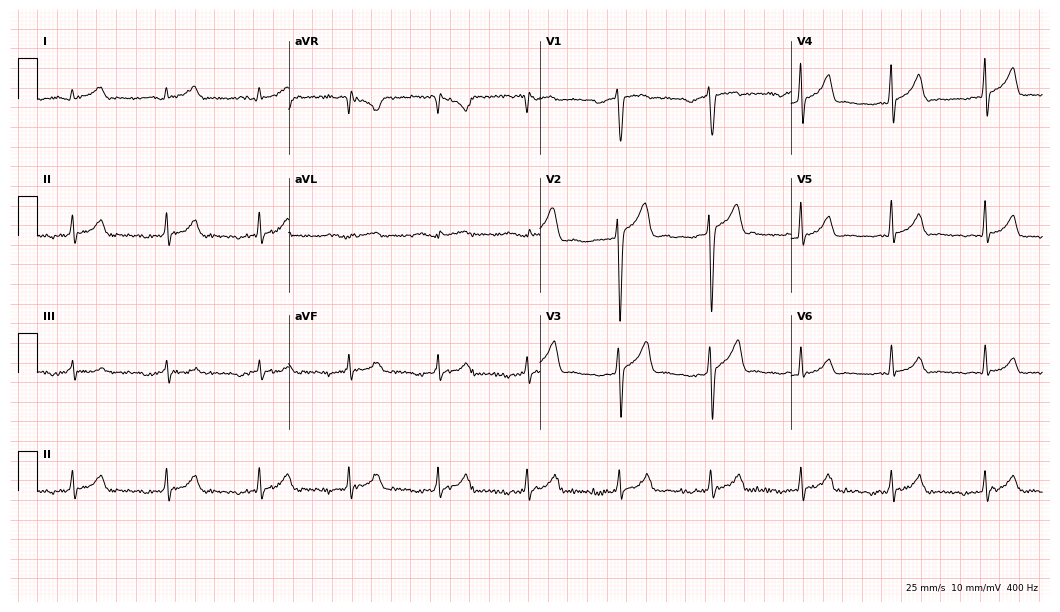
Resting 12-lead electrocardiogram (10.2-second recording at 400 Hz). Patient: a man, 21 years old. The tracing shows first-degree AV block.